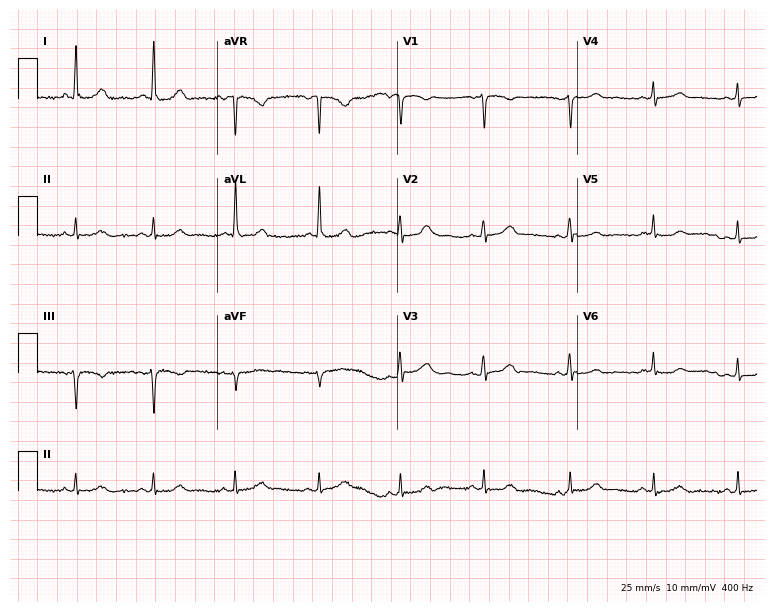
ECG — a female patient, 42 years old. Labelled as a normal ECG.